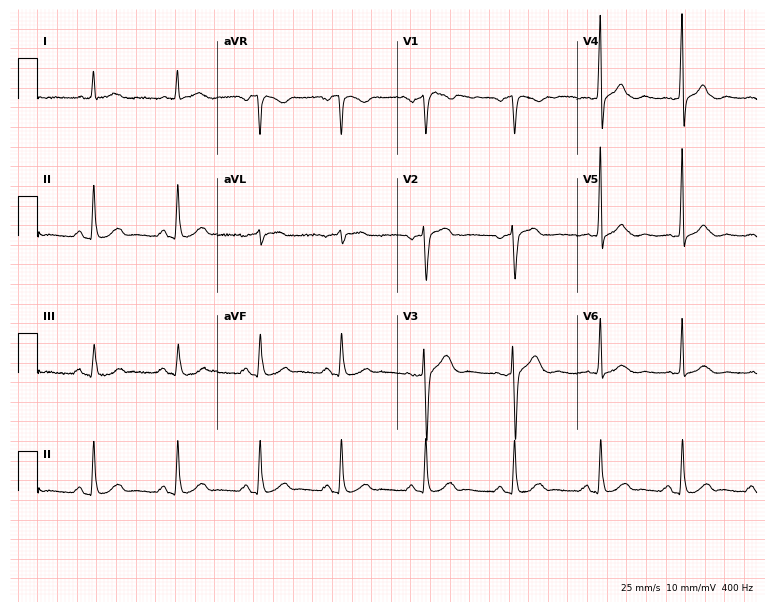
Resting 12-lead electrocardiogram (7.3-second recording at 400 Hz). Patient: a man, 51 years old. None of these six findings is recorded: first-degree AV block, right bundle branch block, left bundle branch block, sinus bradycardia, atrial fibrillation, sinus tachycardia.